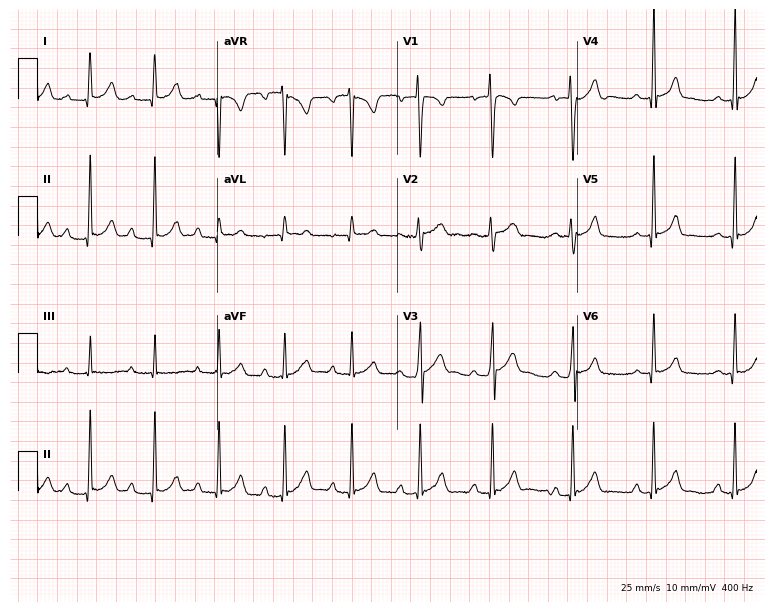
Standard 12-lead ECG recorded from a male, 19 years old. The tracing shows first-degree AV block.